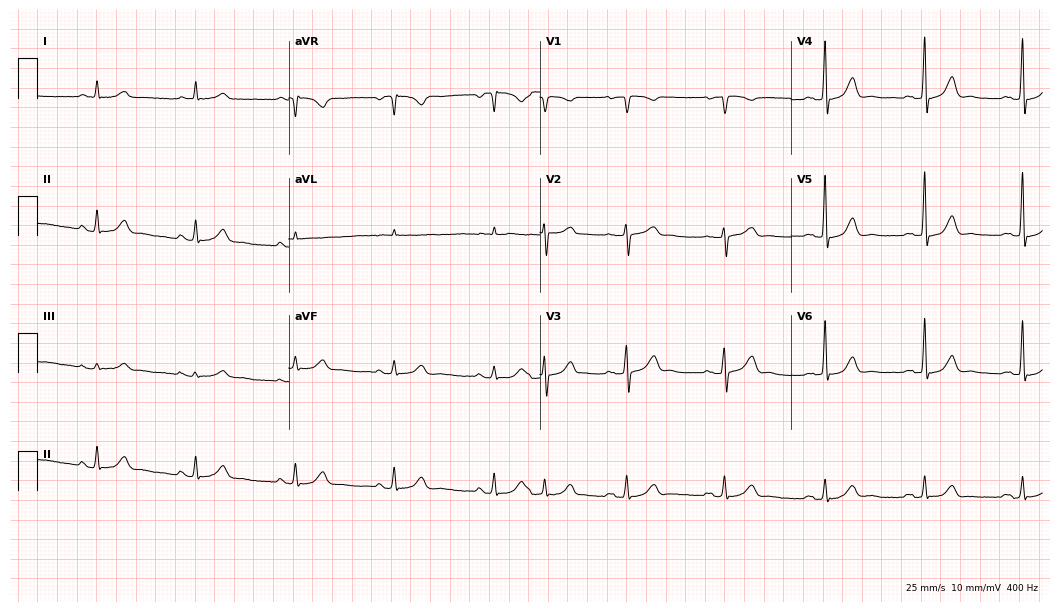
Resting 12-lead electrocardiogram (10.2-second recording at 400 Hz). Patient: a male, 82 years old. Read as a normal ECG.